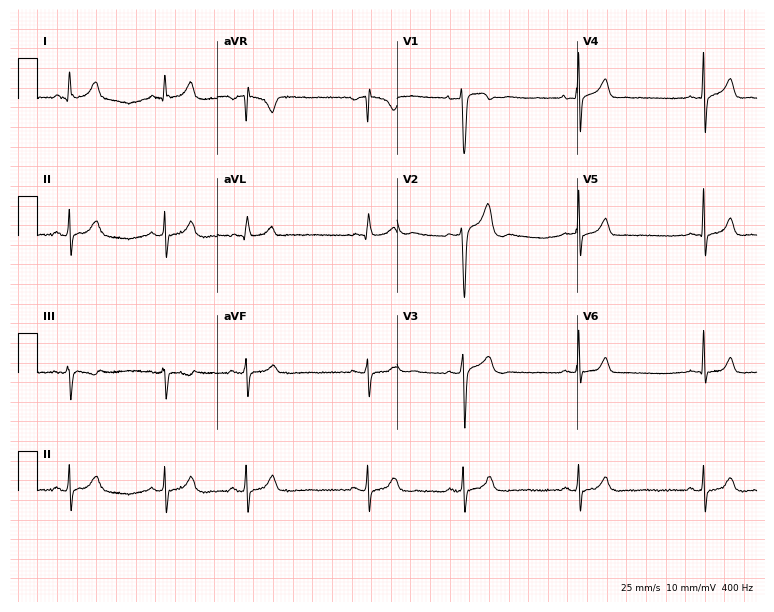
Resting 12-lead electrocardiogram. Patient: a male, 18 years old. None of these six findings is recorded: first-degree AV block, right bundle branch block, left bundle branch block, sinus bradycardia, atrial fibrillation, sinus tachycardia. Only these six findings were labelled.